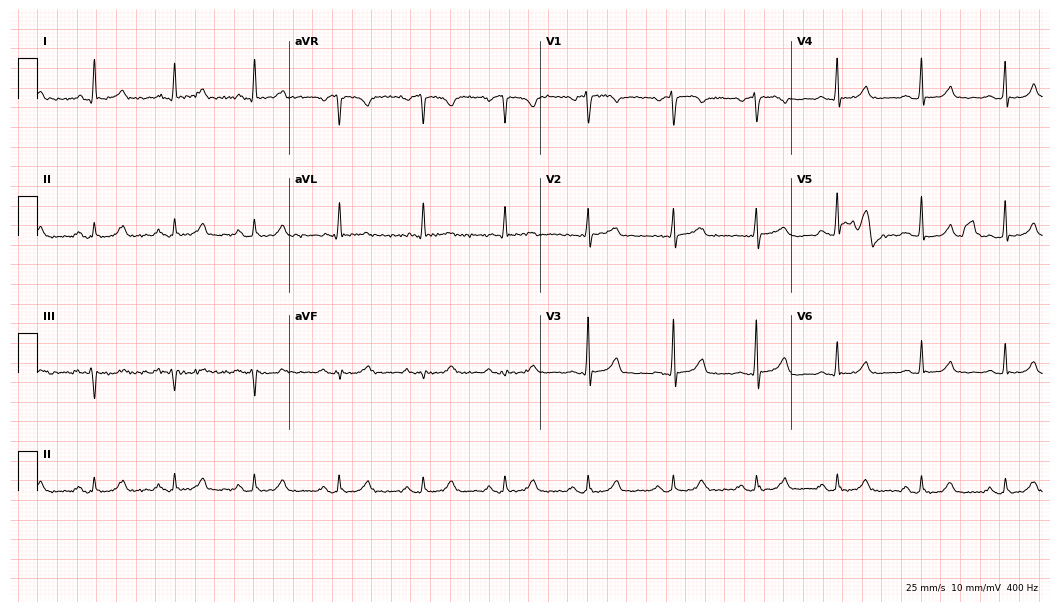
Resting 12-lead electrocardiogram. Patient: a 56-year-old female. Read as a normal ECG.